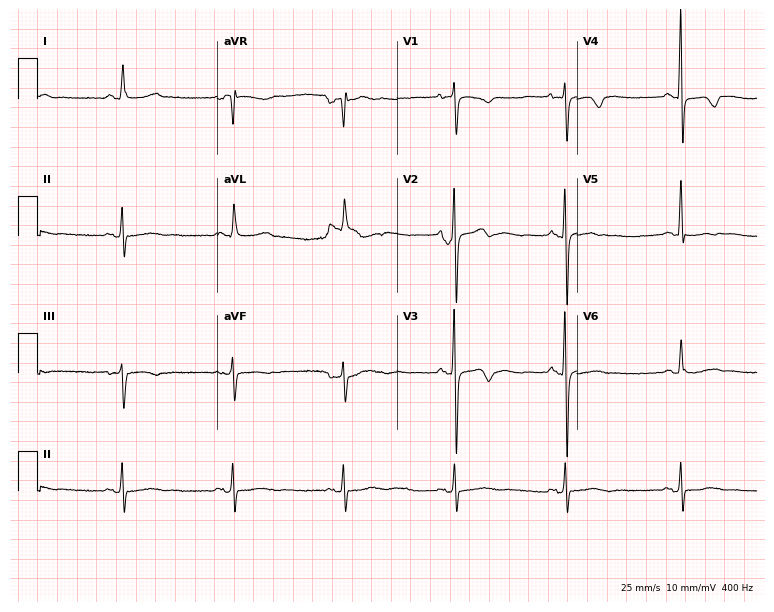
ECG (7.3-second recording at 400 Hz) — a female patient, 69 years old. Screened for six findings — first-degree AV block, right bundle branch block (RBBB), left bundle branch block (LBBB), sinus bradycardia, atrial fibrillation (AF), sinus tachycardia — none is recorded.